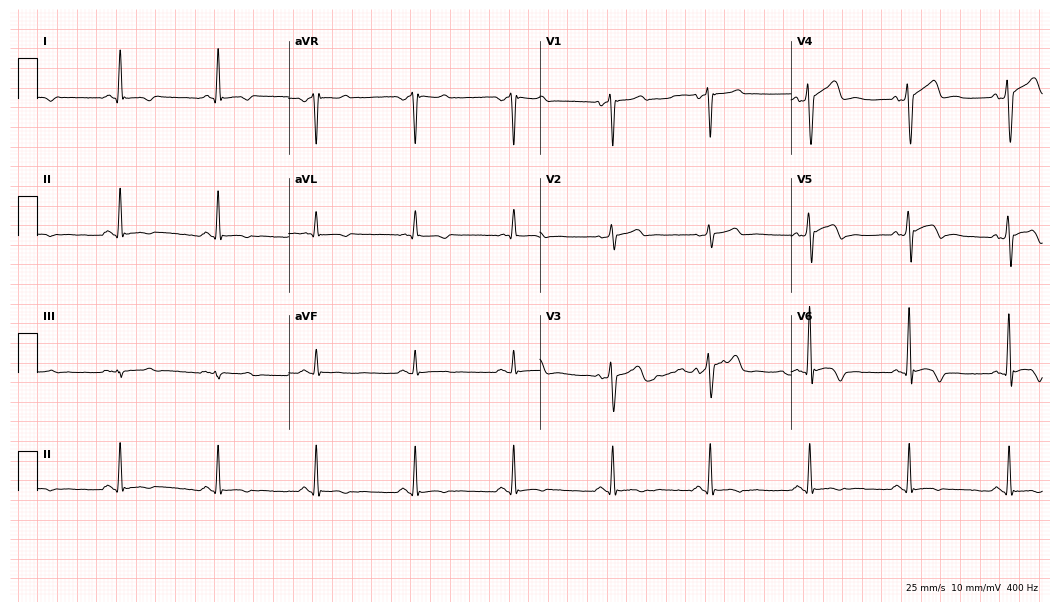
Standard 12-lead ECG recorded from a man, 48 years old. None of these six findings is recorded: first-degree AV block, right bundle branch block, left bundle branch block, sinus bradycardia, atrial fibrillation, sinus tachycardia.